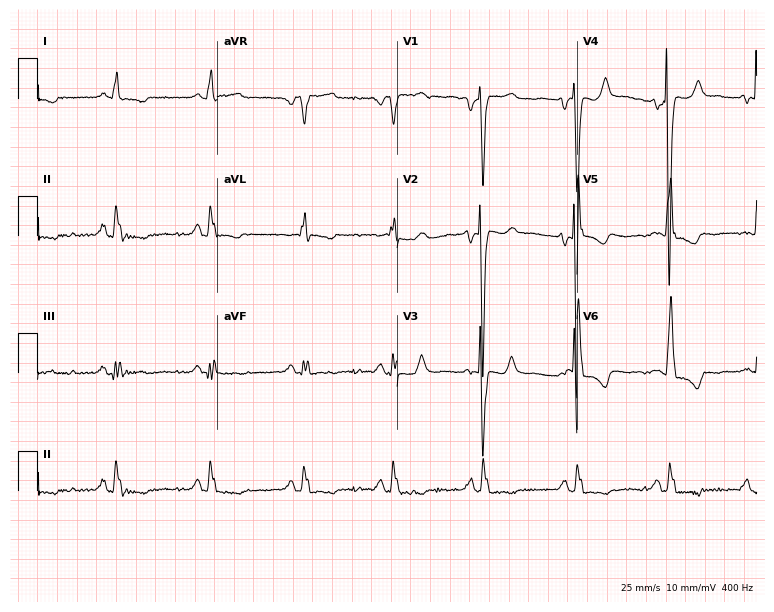
Standard 12-lead ECG recorded from a 59-year-old male. The tracing shows left bundle branch block.